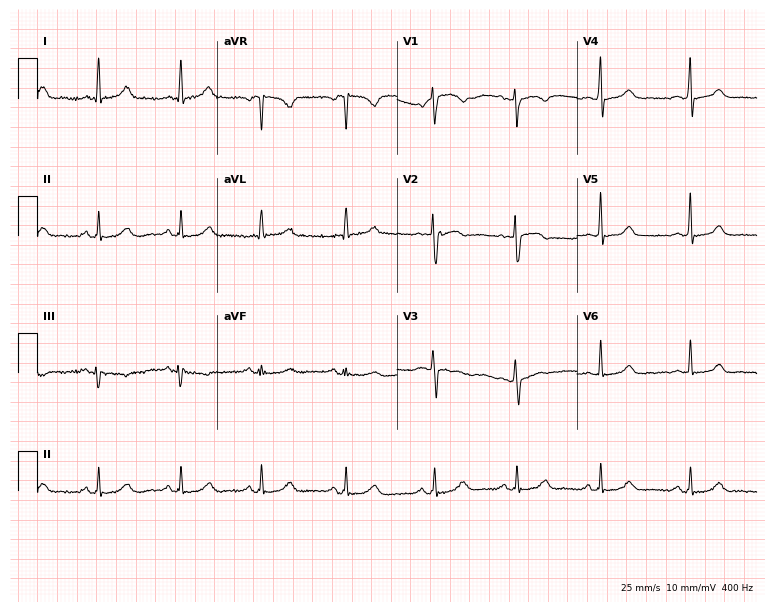
Electrocardiogram, a 55-year-old female. Overall reading on record: normal ECG.